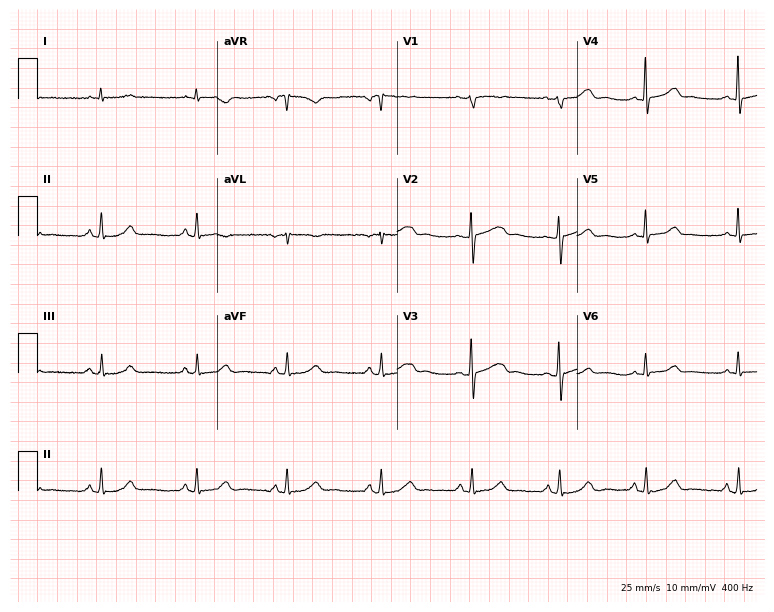
12-lead ECG from a female, 56 years old. Labelled as a normal ECG.